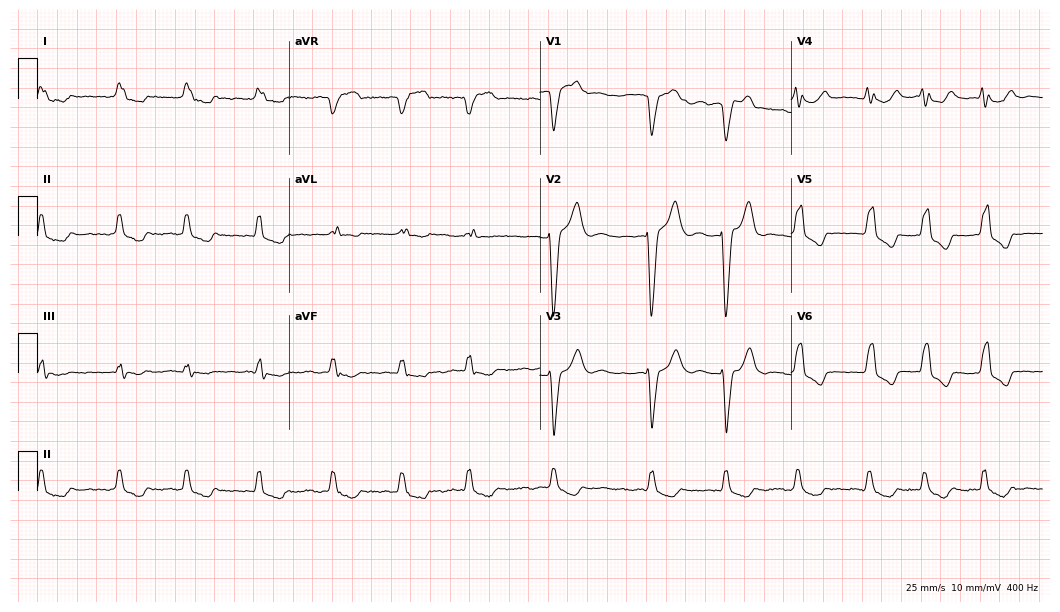
Resting 12-lead electrocardiogram. Patient: an 80-year-old female. The tracing shows left bundle branch block, atrial fibrillation.